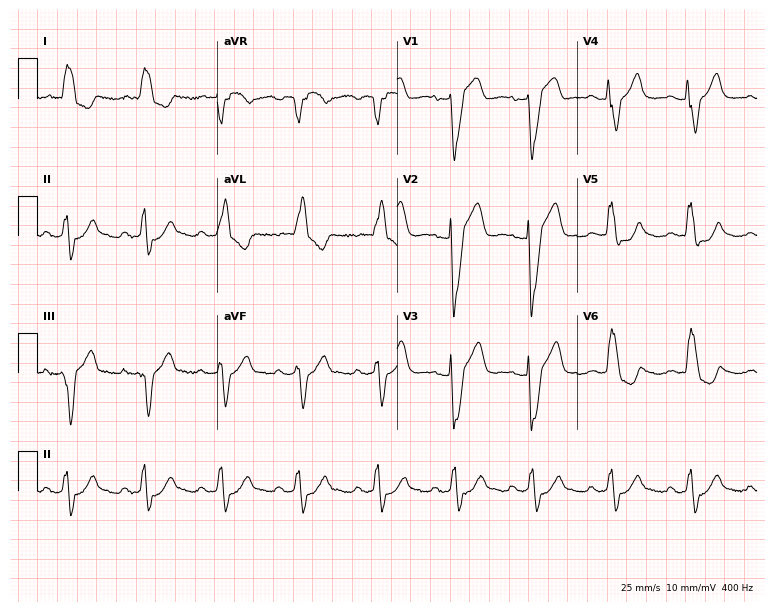
Standard 12-lead ECG recorded from an 81-year-old female patient (7.3-second recording at 400 Hz). The tracing shows left bundle branch block.